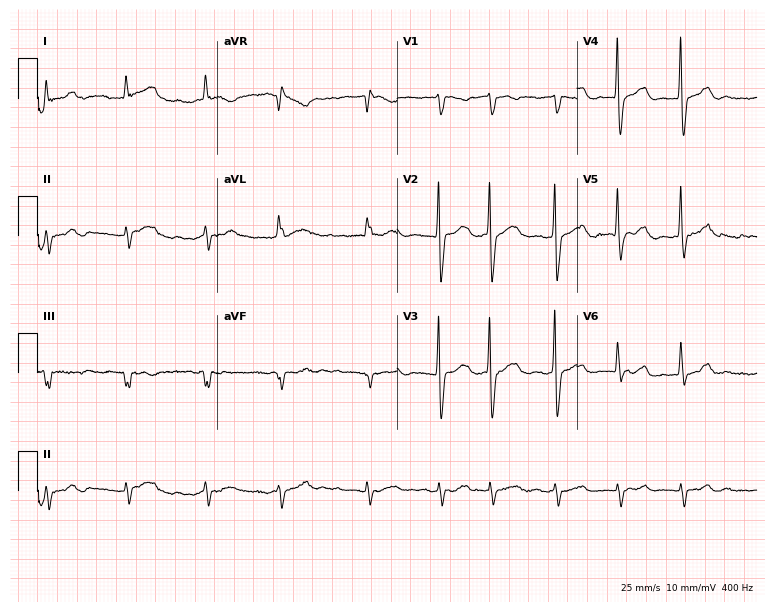
Standard 12-lead ECG recorded from a 77-year-old man (7.3-second recording at 400 Hz). The tracing shows atrial fibrillation.